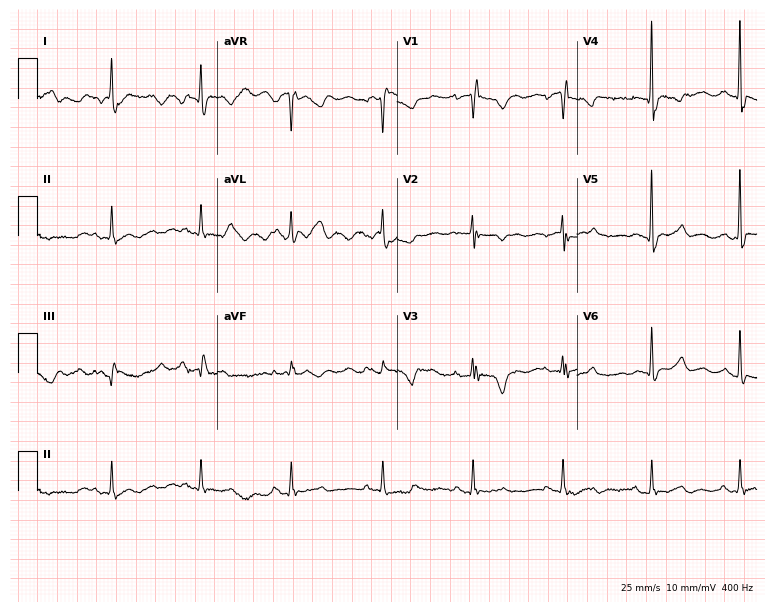
Resting 12-lead electrocardiogram (7.3-second recording at 400 Hz). Patient: an 81-year-old woman. None of these six findings is recorded: first-degree AV block, right bundle branch block, left bundle branch block, sinus bradycardia, atrial fibrillation, sinus tachycardia. Only these six findings were labelled.